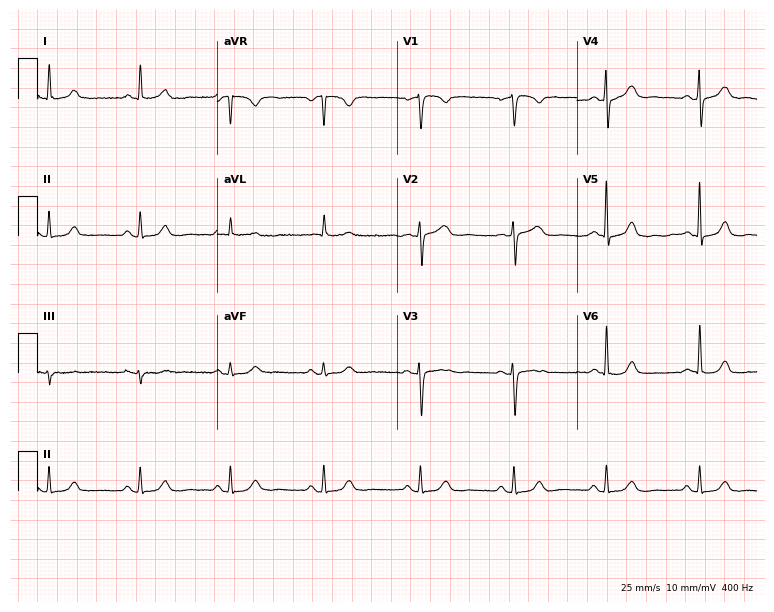
12-lead ECG from a 64-year-old woman. Recorded interpretation: within normal limits.